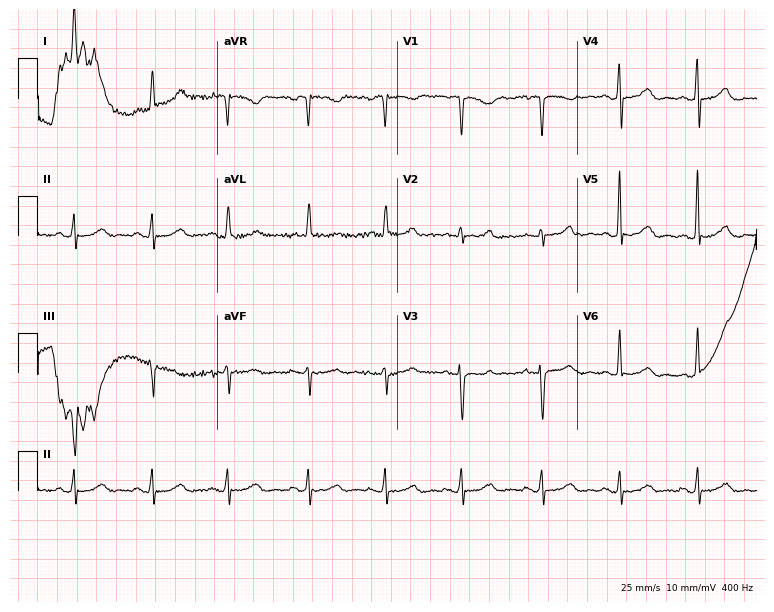
Standard 12-lead ECG recorded from a 71-year-old woman (7.3-second recording at 400 Hz). Read as a normal ECG.